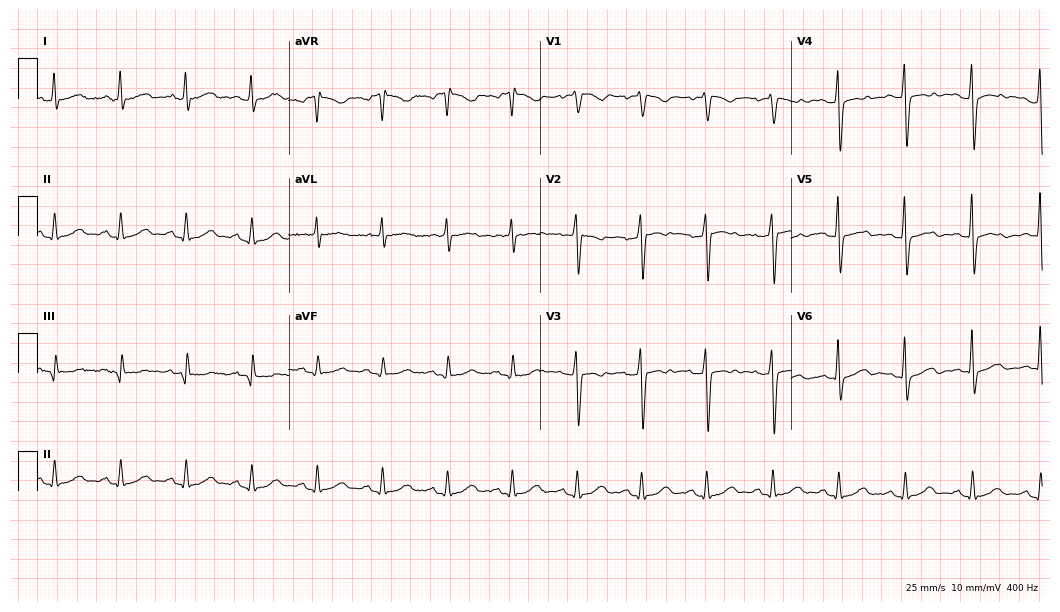
ECG (10.2-second recording at 400 Hz) — a male patient, 71 years old. Screened for six findings — first-degree AV block, right bundle branch block, left bundle branch block, sinus bradycardia, atrial fibrillation, sinus tachycardia — none is recorded. Only these six findings were labelled.